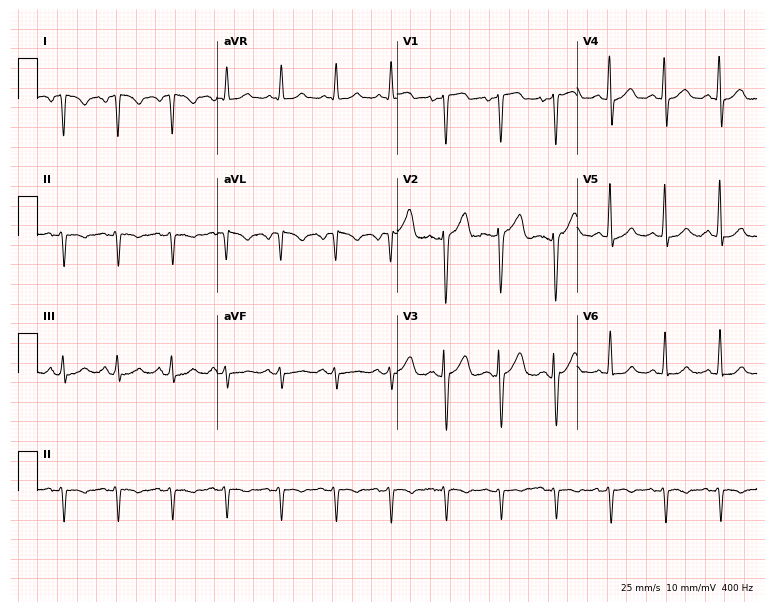
12-lead ECG from a 78-year-old man. No first-degree AV block, right bundle branch block, left bundle branch block, sinus bradycardia, atrial fibrillation or sinus tachycardia recorded for this tracing.